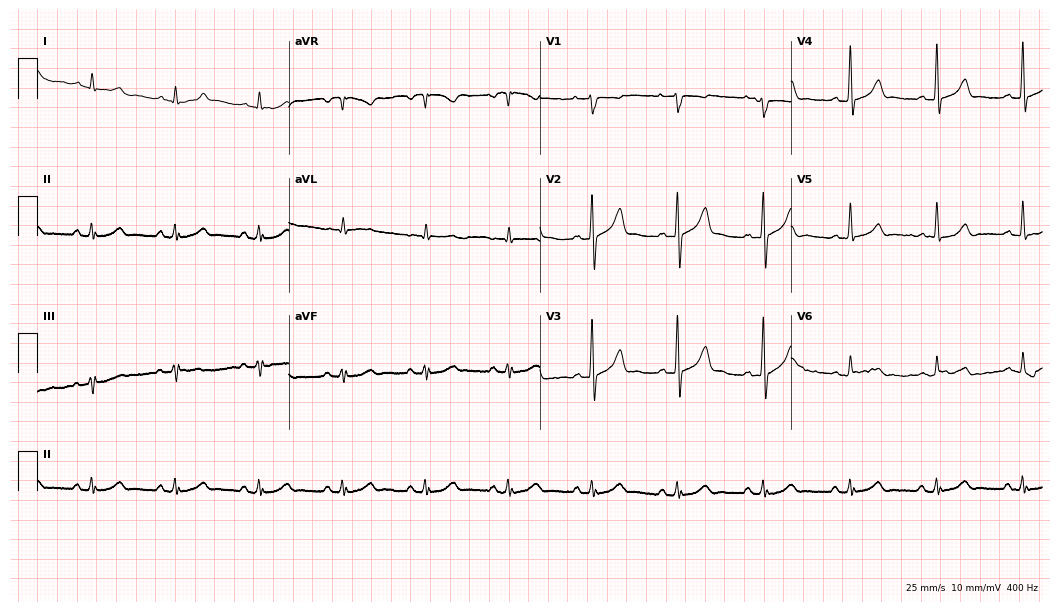
Resting 12-lead electrocardiogram. Patient: a man, 74 years old. Read as a normal ECG.